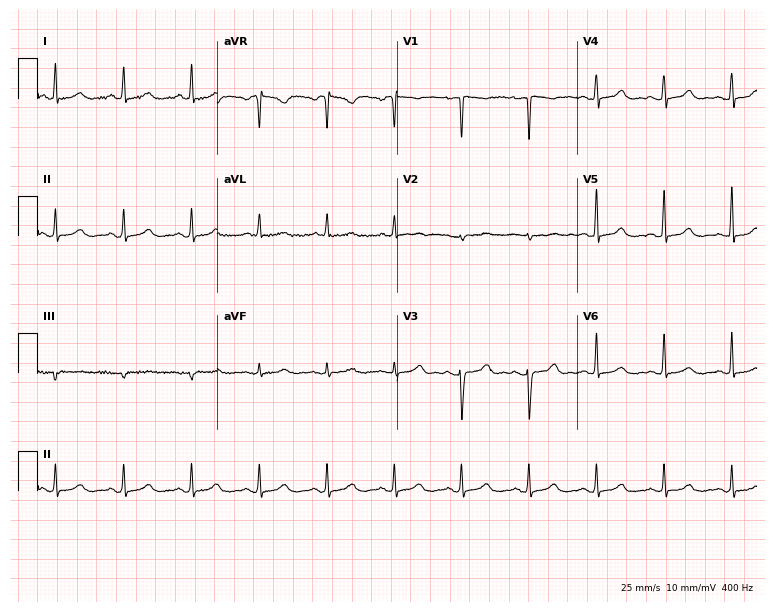
Resting 12-lead electrocardiogram. Patient: a 45-year-old female. Read as a normal ECG.